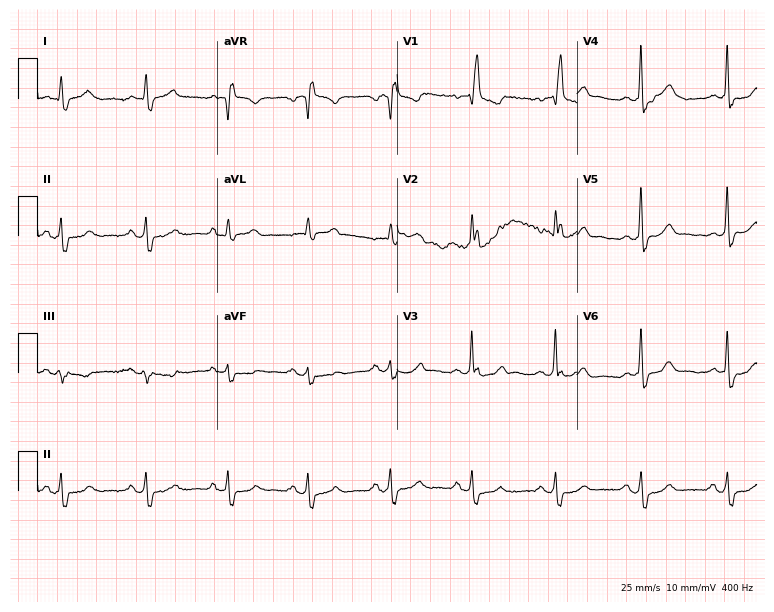
12-lead ECG from a 70-year-old male patient (7.3-second recording at 400 Hz). Shows right bundle branch block.